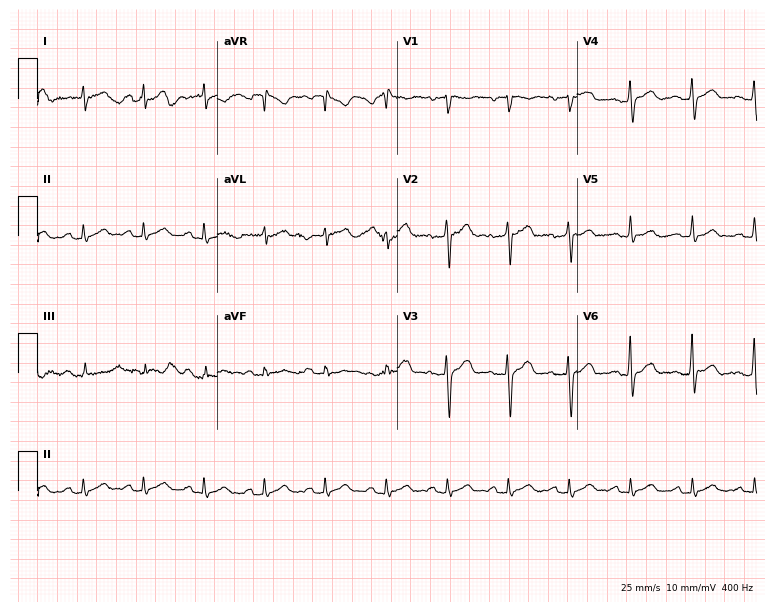
12-lead ECG from a 36-year-old male patient. Labelled as a normal ECG.